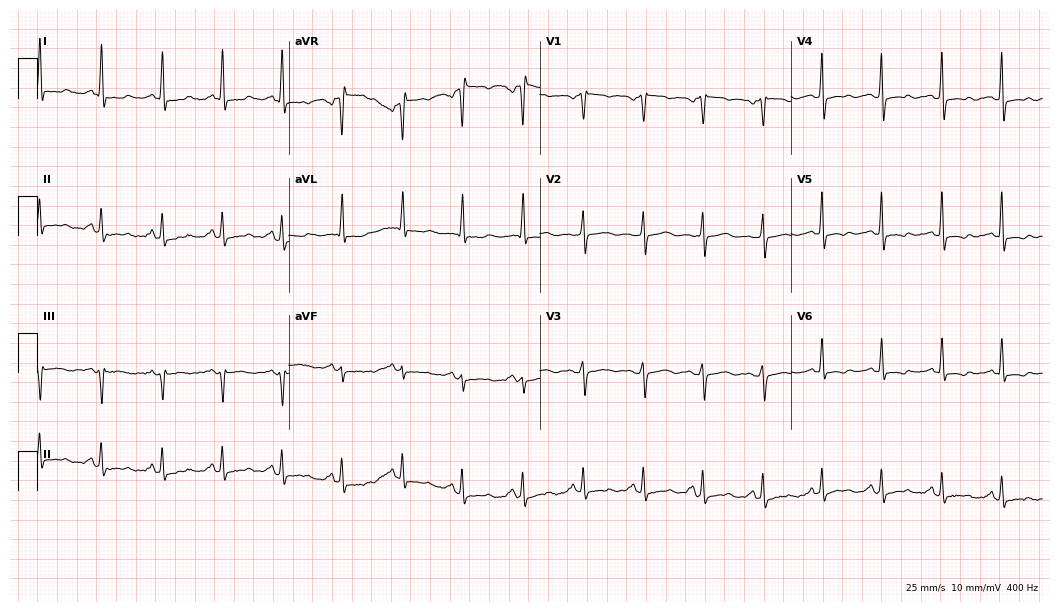
Resting 12-lead electrocardiogram. Patient: a 57-year-old female. None of these six findings is recorded: first-degree AV block, right bundle branch block (RBBB), left bundle branch block (LBBB), sinus bradycardia, atrial fibrillation (AF), sinus tachycardia.